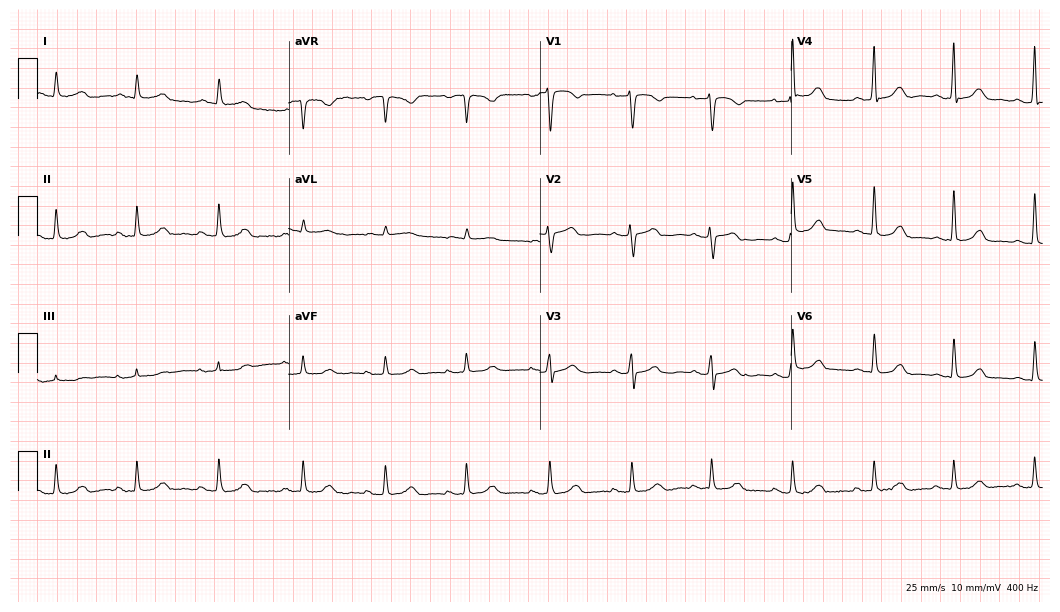
12-lead ECG (10.2-second recording at 400 Hz) from a female patient, 64 years old. Labelled as a normal ECG.